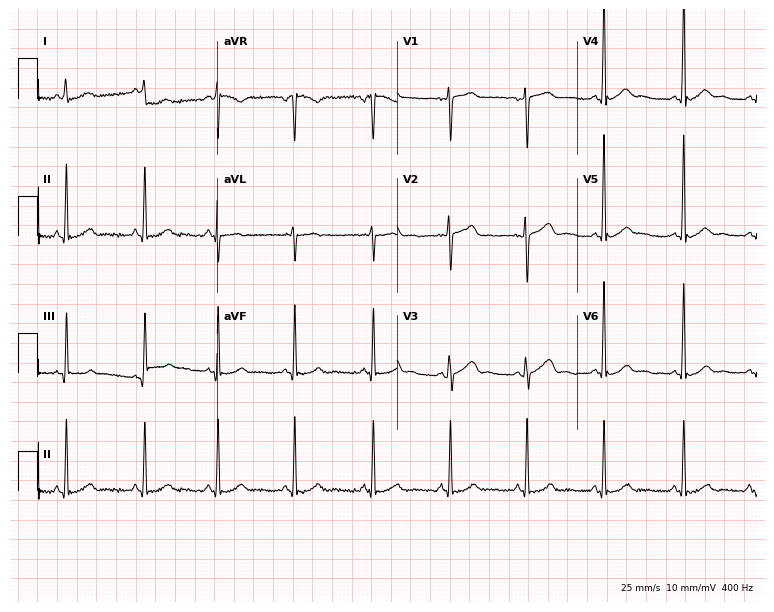
12-lead ECG from a 19-year-old woman (7.3-second recording at 400 Hz). Recorded interpretation: within normal limits.